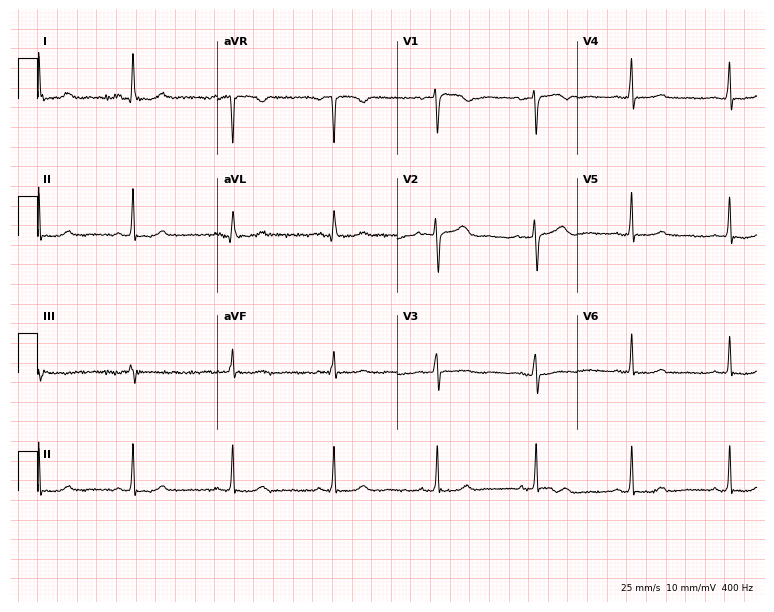
ECG (7.3-second recording at 400 Hz) — a 53-year-old female. Labelled as a normal ECG.